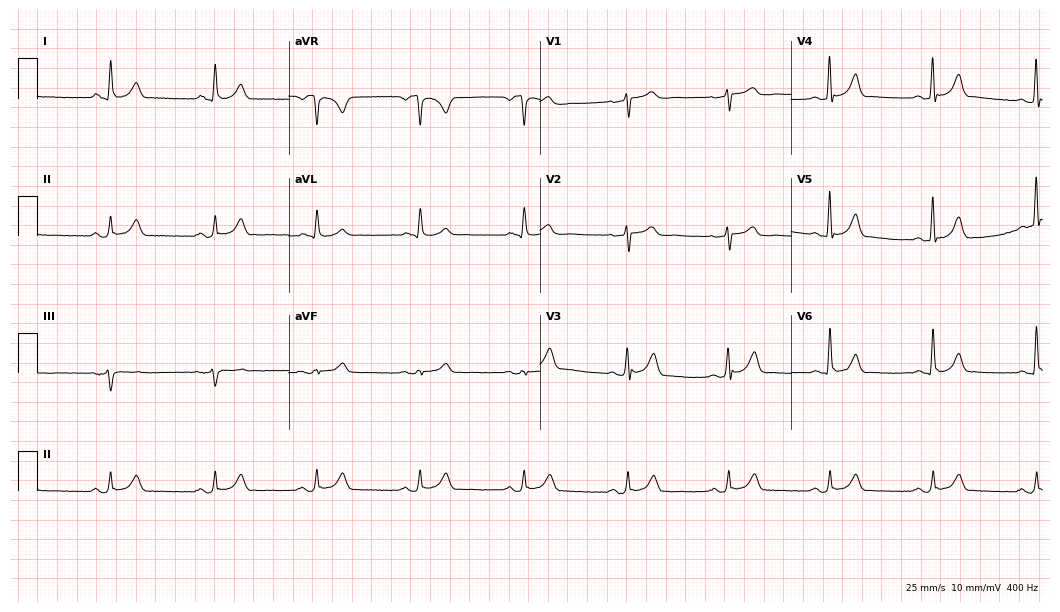
Resting 12-lead electrocardiogram. Patient: a 70-year-old male. Read as a normal ECG.